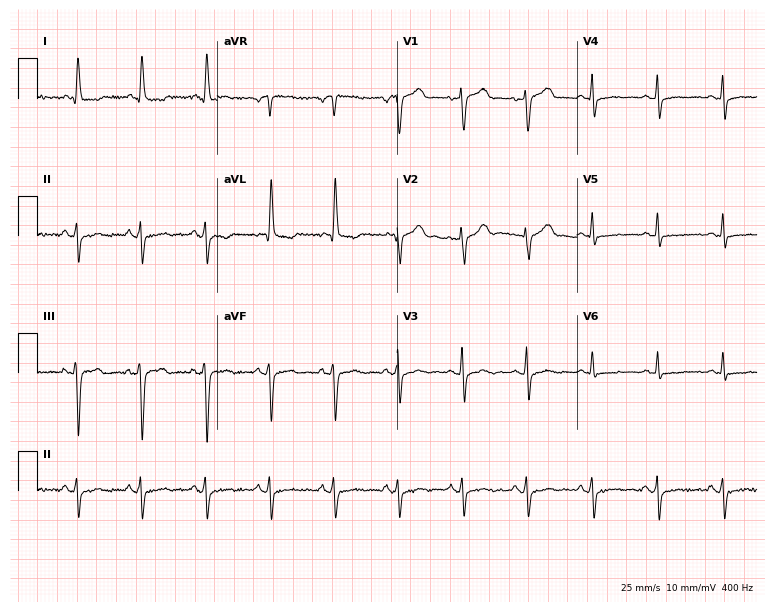
Resting 12-lead electrocardiogram. Patient: a 73-year-old female. None of these six findings is recorded: first-degree AV block, right bundle branch block, left bundle branch block, sinus bradycardia, atrial fibrillation, sinus tachycardia.